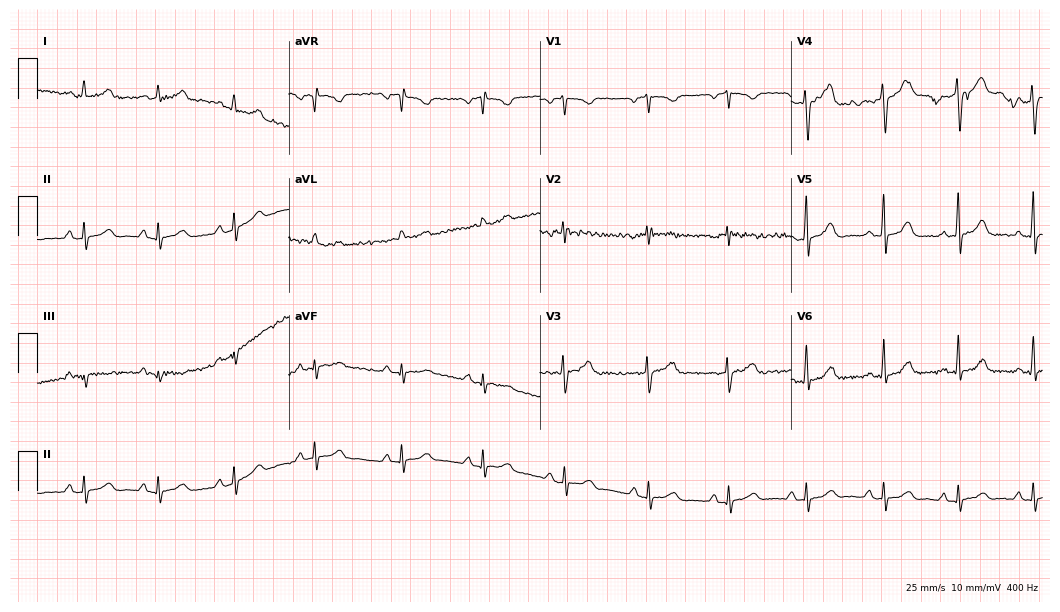
12-lead ECG from a 31-year-old female. Recorded interpretation: within normal limits.